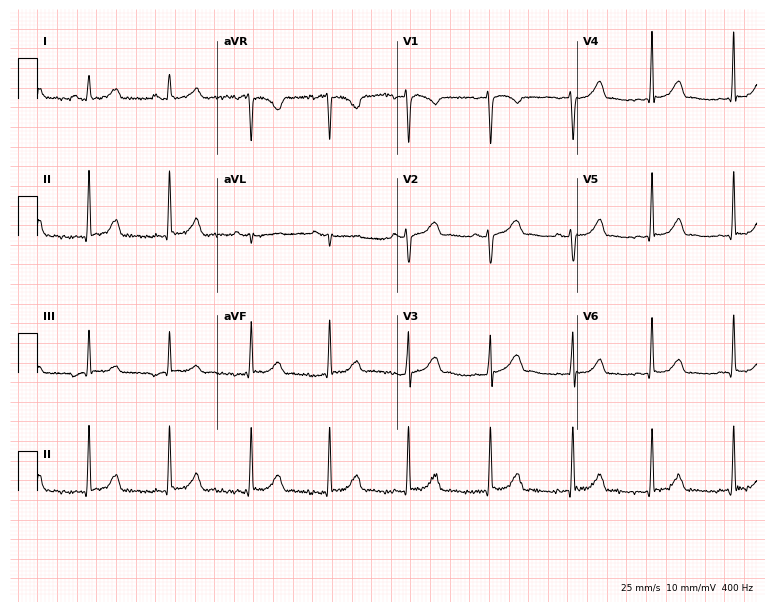
ECG — a 20-year-old woman. Labelled as a normal ECG.